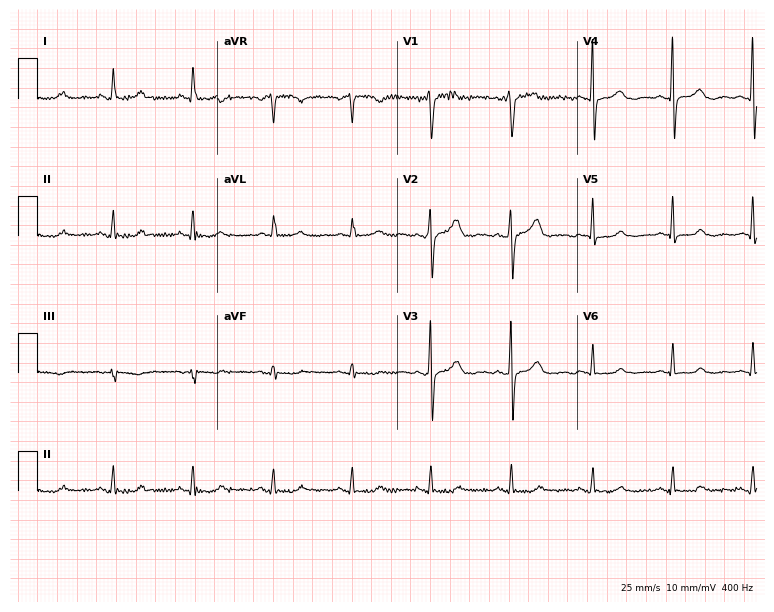
12-lead ECG from a female, 62 years old. Recorded interpretation: within normal limits.